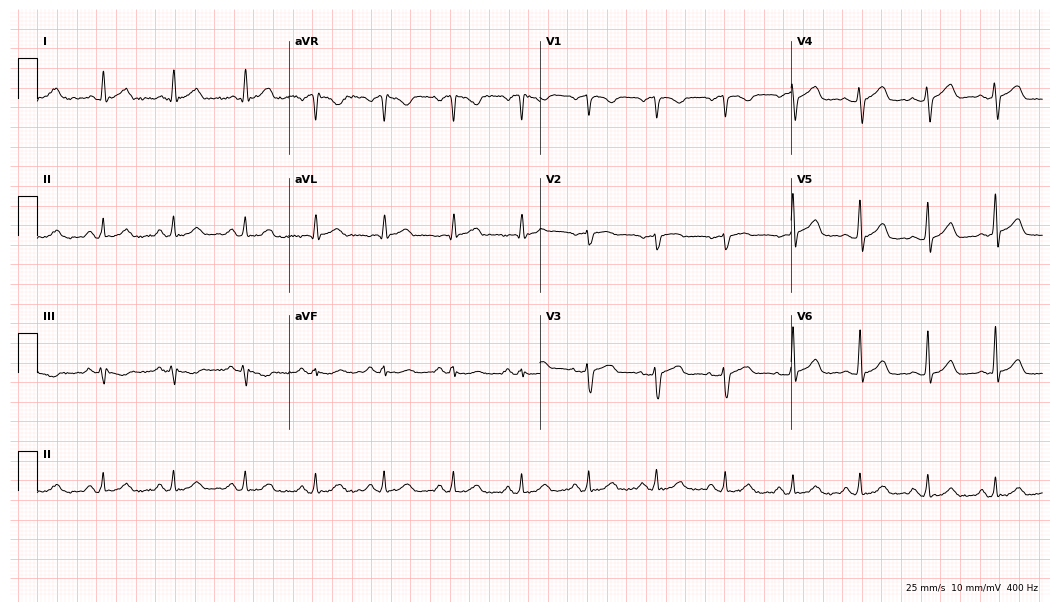
Standard 12-lead ECG recorded from a woman, 51 years old (10.2-second recording at 400 Hz). Read as a normal ECG.